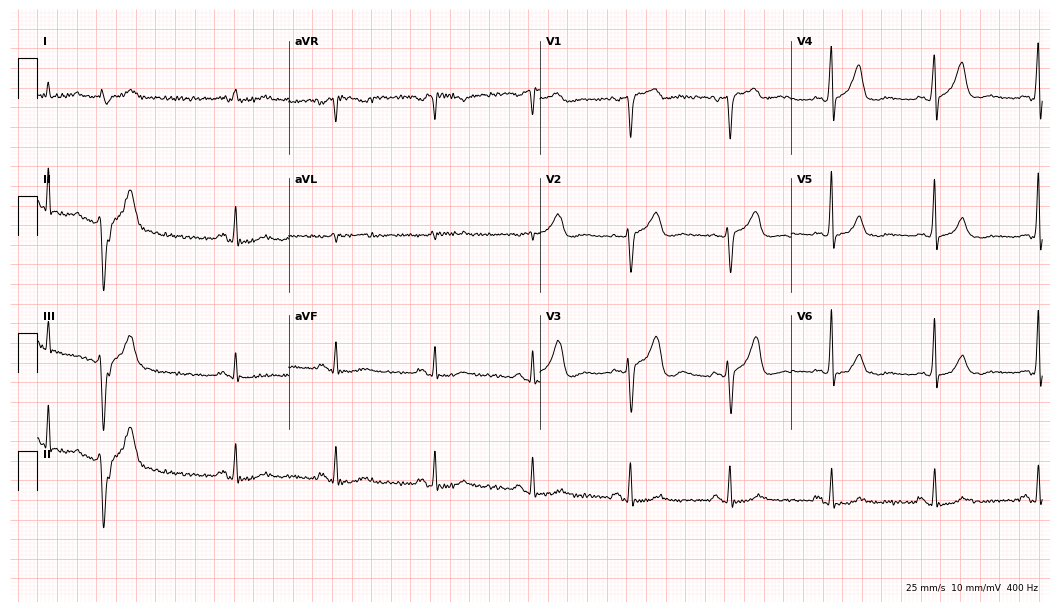
12-lead ECG from a 79-year-old male. No first-degree AV block, right bundle branch block, left bundle branch block, sinus bradycardia, atrial fibrillation or sinus tachycardia recorded for this tracing. Other findings, if any, are not listed.